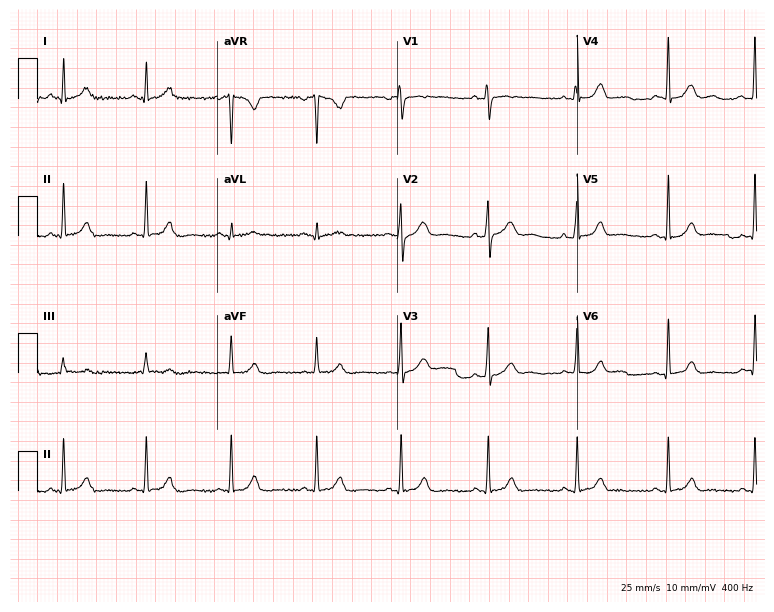
12-lead ECG from a female patient, 45 years old (7.3-second recording at 400 Hz). Recorded interpretation: within normal limits.